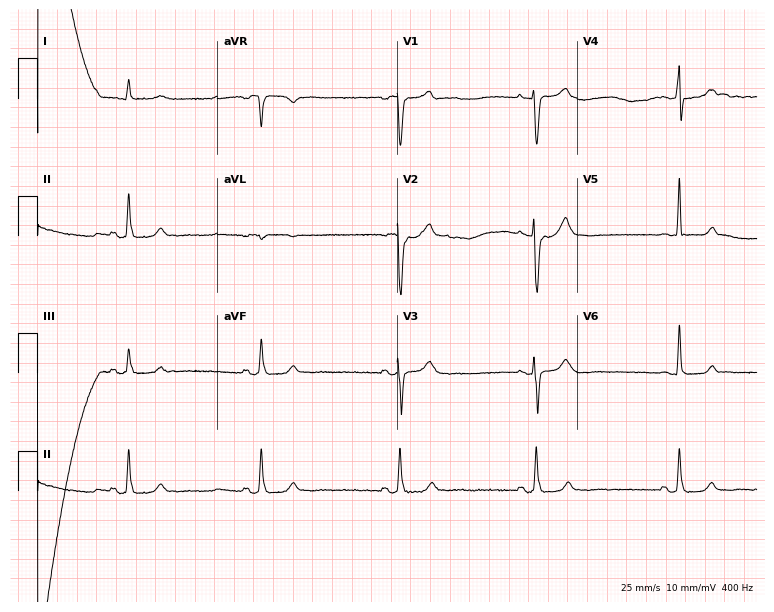
Resting 12-lead electrocardiogram (7.3-second recording at 400 Hz). Patient: a male, 49 years old. The tracing shows sinus bradycardia (a sinus rate of 50 beats per minute or less).